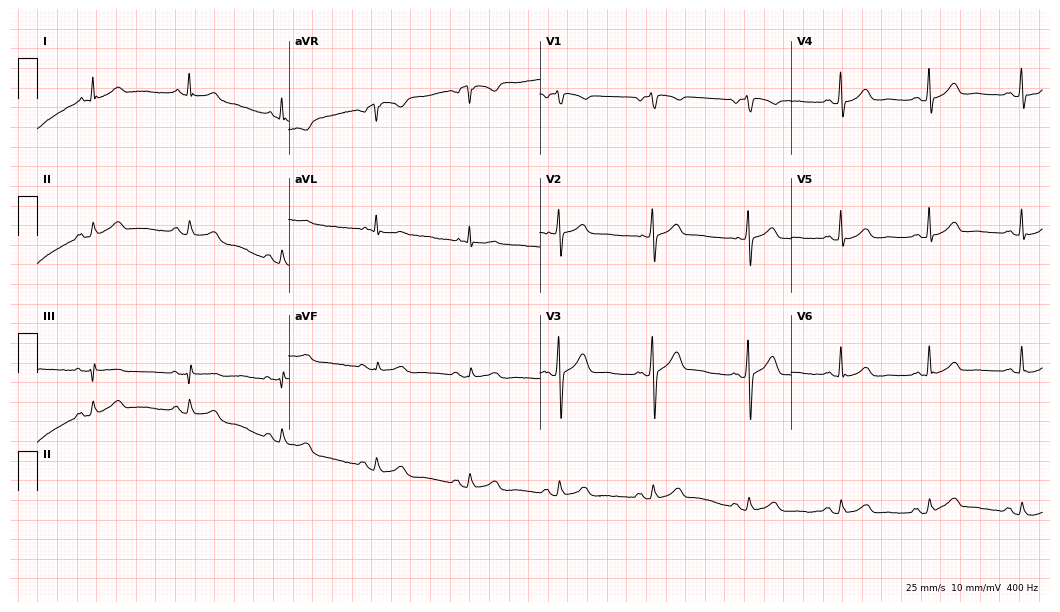
Standard 12-lead ECG recorded from a male patient, 50 years old (10.2-second recording at 400 Hz). Read as a normal ECG.